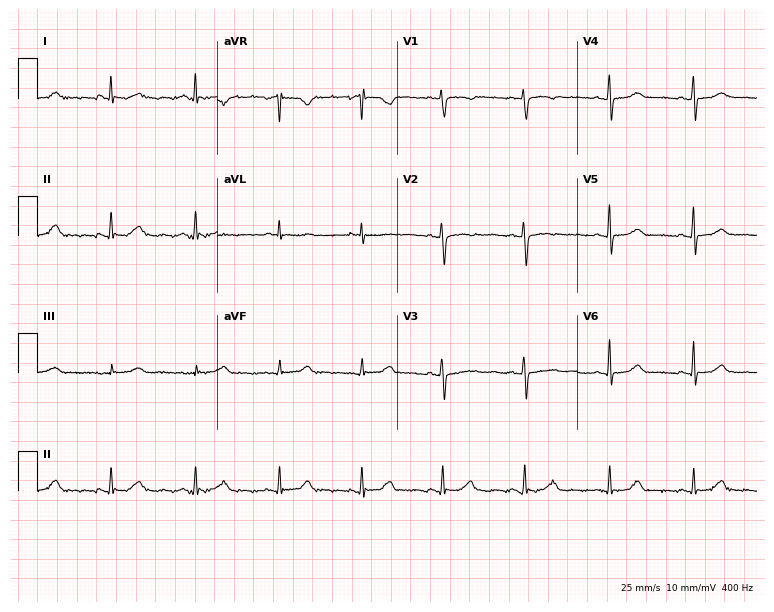
12-lead ECG from a female patient, 59 years old. Labelled as a normal ECG.